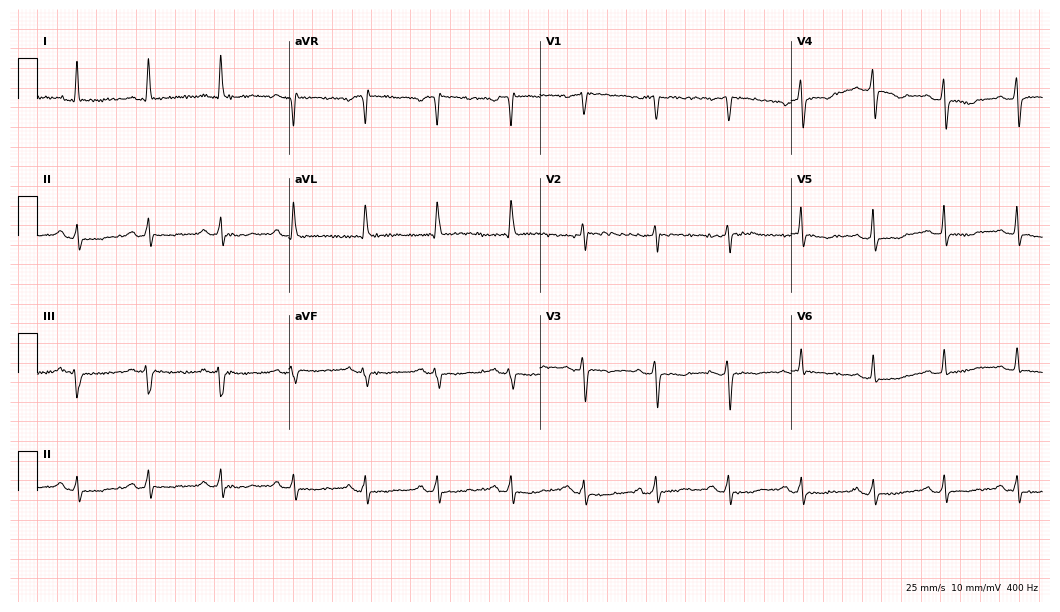
Resting 12-lead electrocardiogram. Patient: a 57-year-old female. None of these six findings is recorded: first-degree AV block, right bundle branch block, left bundle branch block, sinus bradycardia, atrial fibrillation, sinus tachycardia. Findings outside these six are not listed.